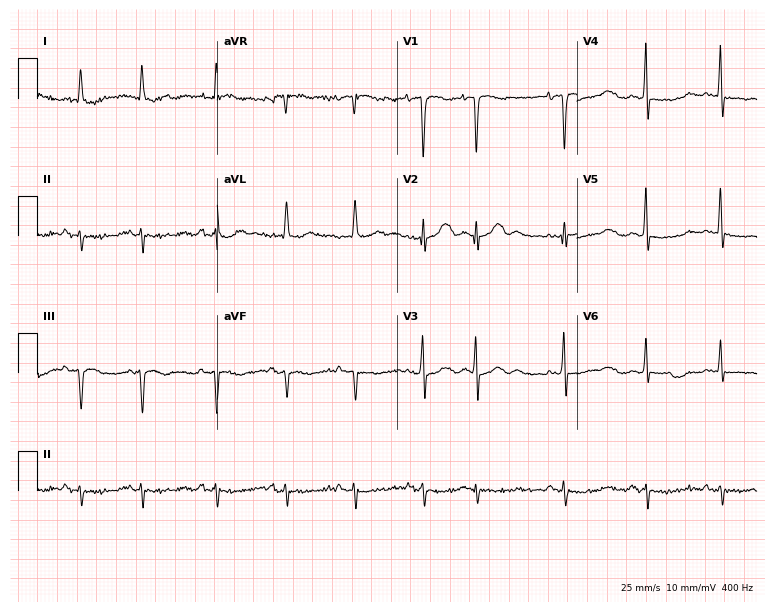
Standard 12-lead ECG recorded from a woman, 76 years old (7.3-second recording at 400 Hz). None of these six findings is recorded: first-degree AV block, right bundle branch block (RBBB), left bundle branch block (LBBB), sinus bradycardia, atrial fibrillation (AF), sinus tachycardia.